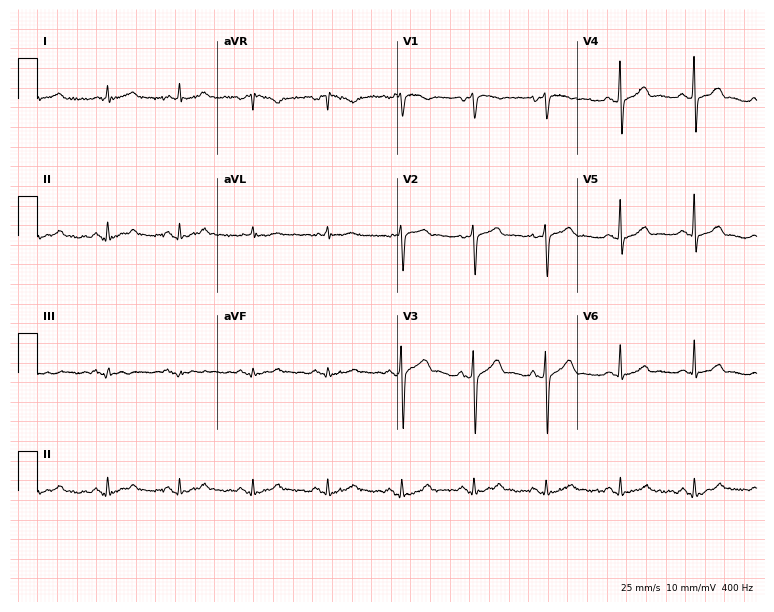
ECG (7.3-second recording at 400 Hz) — a 66-year-old male patient. Screened for six findings — first-degree AV block, right bundle branch block, left bundle branch block, sinus bradycardia, atrial fibrillation, sinus tachycardia — none is recorded.